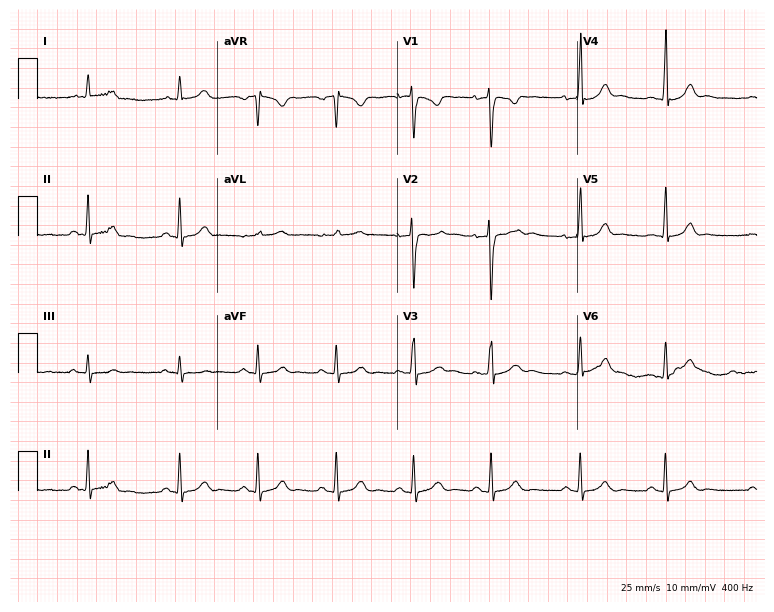
12-lead ECG from a female, 25 years old. Recorded interpretation: within normal limits.